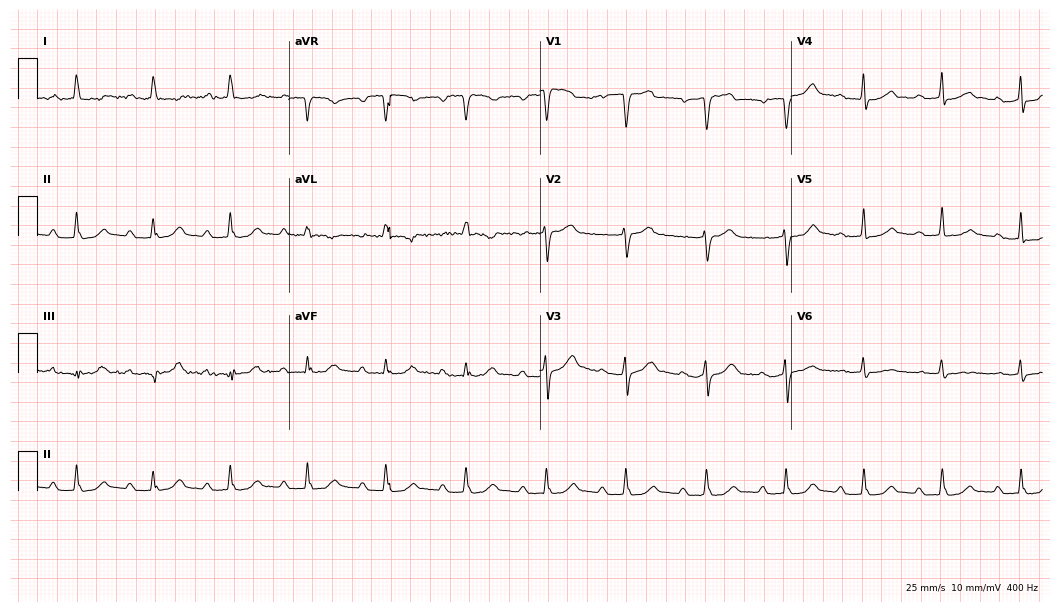
12-lead ECG from a man, 61 years old. Shows first-degree AV block.